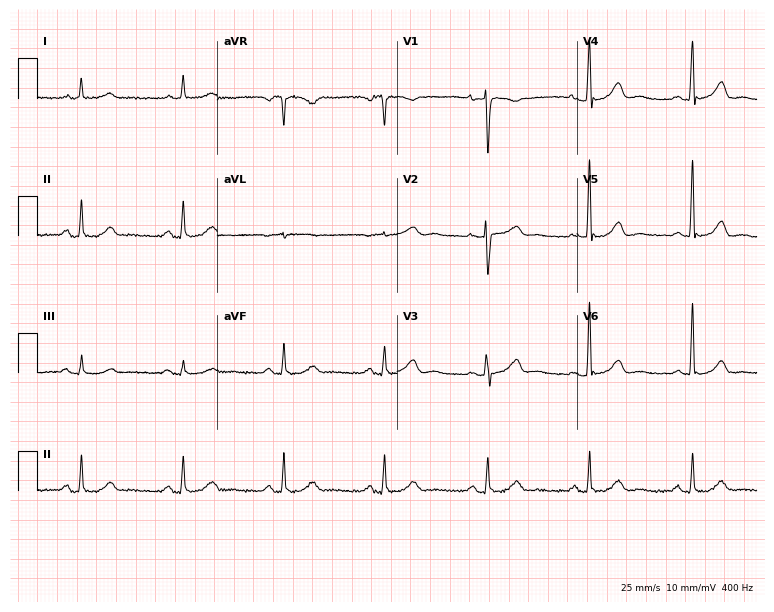
12-lead ECG from a 57-year-old woman. Labelled as a normal ECG.